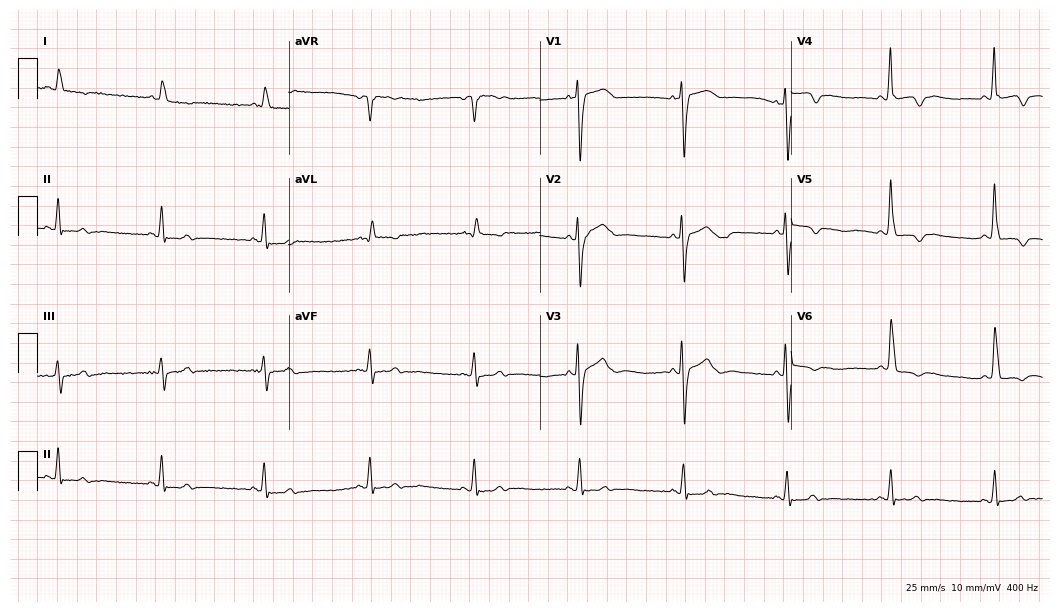
ECG — a man, 87 years old. Screened for six findings — first-degree AV block, right bundle branch block, left bundle branch block, sinus bradycardia, atrial fibrillation, sinus tachycardia — none is recorded.